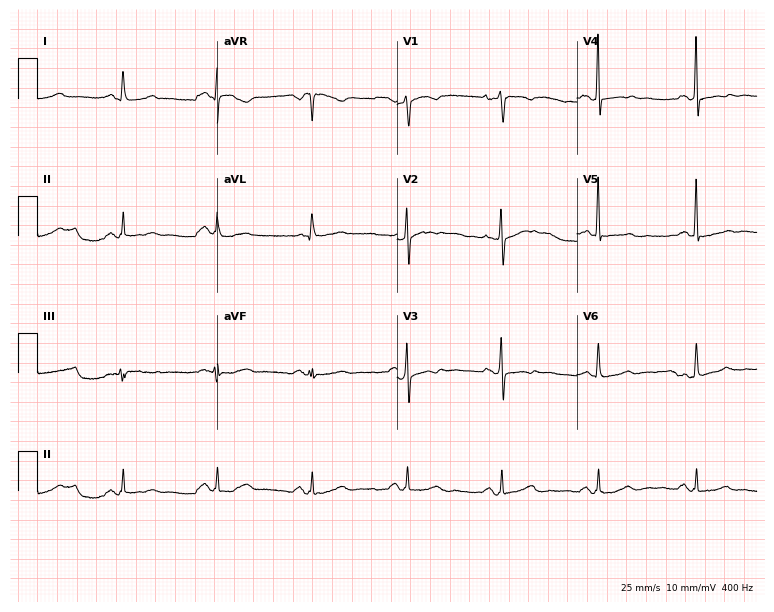
ECG — a female patient, 68 years old. Screened for six findings — first-degree AV block, right bundle branch block, left bundle branch block, sinus bradycardia, atrial fibrillation, sinus tachycardia — none is recorded.